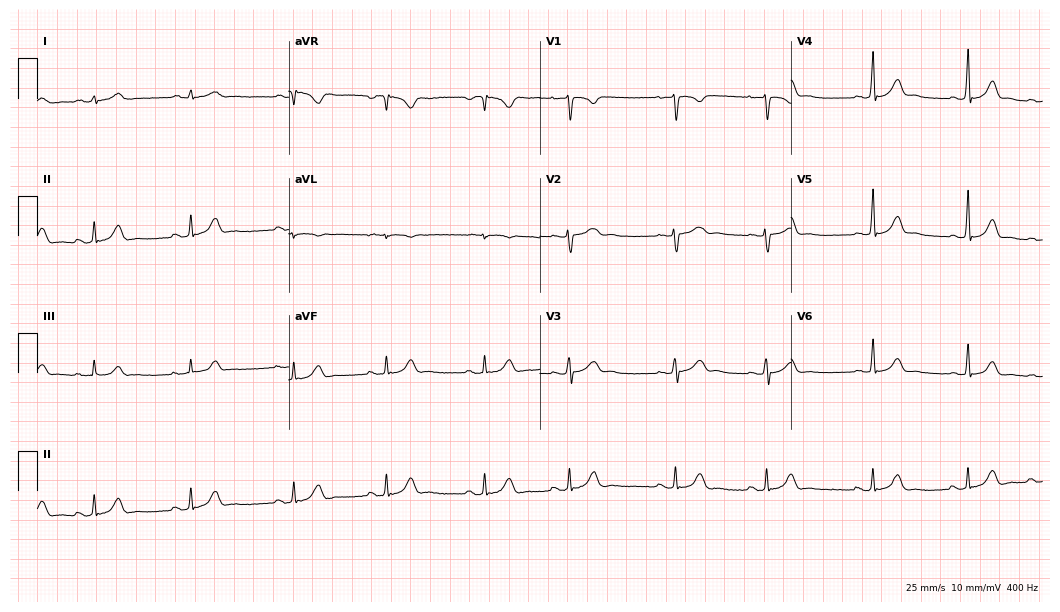
Resting 12-lead electrocardiogram. Patient: a female, 20 years old. Read as a normal ECG.